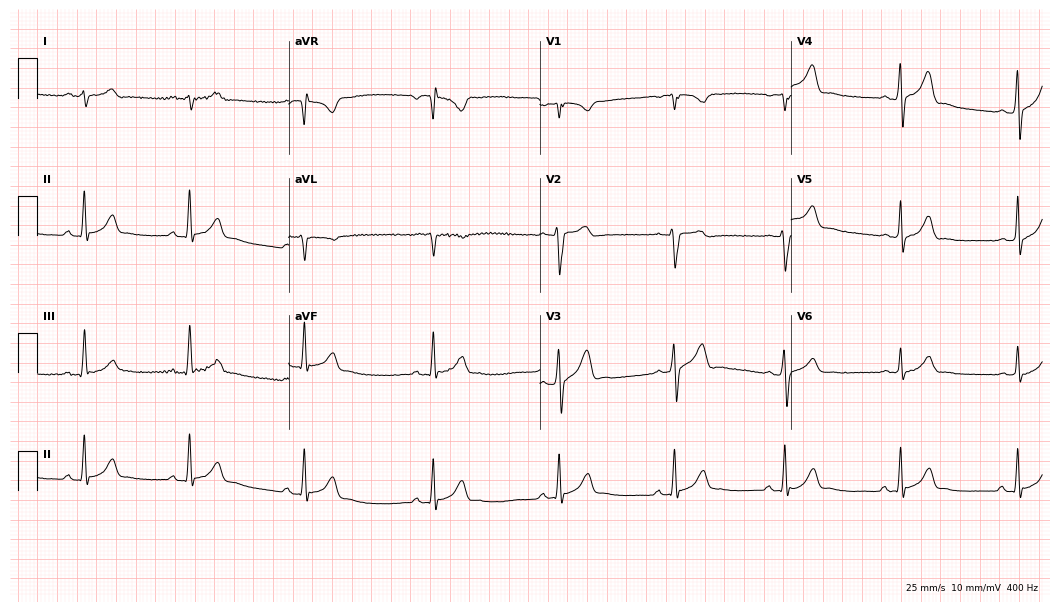
Resting 12-lead electrocardiogram. Patient: a man, 23 years old. The tracing shows sinus bradycardia (a sinus rate of 50 beats per minute or less).